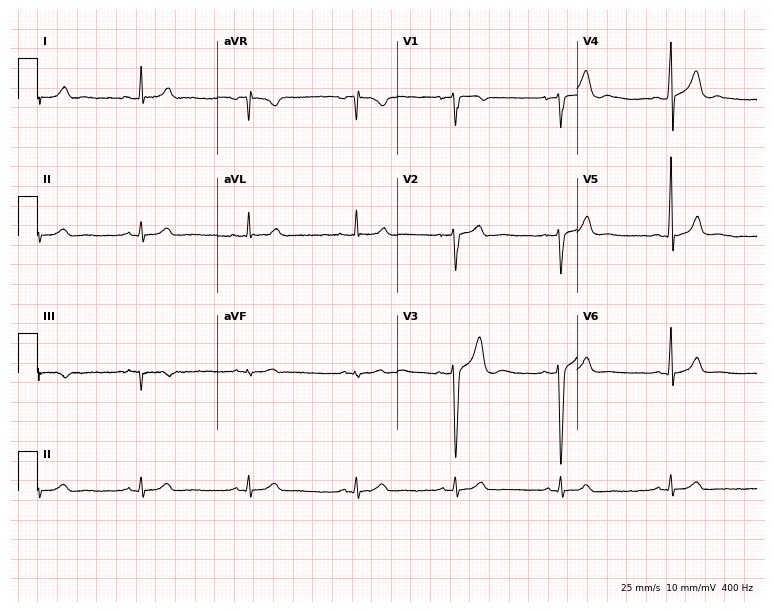
12-lead ECG (7.3-second recording at 400 Hz) from a male, 19 years old. Labelled as a normal ECG.